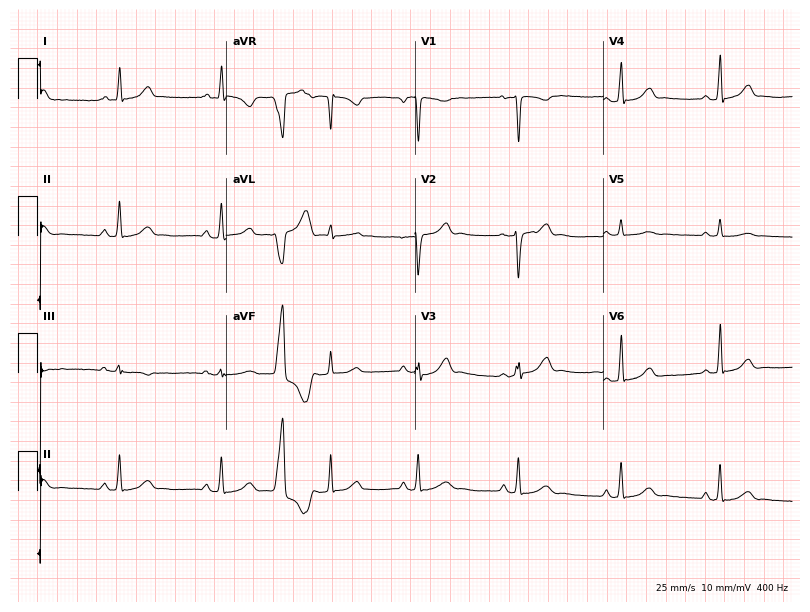
12-lead ECG from a female patient, 39 years old. Labelled as a normal ECG.